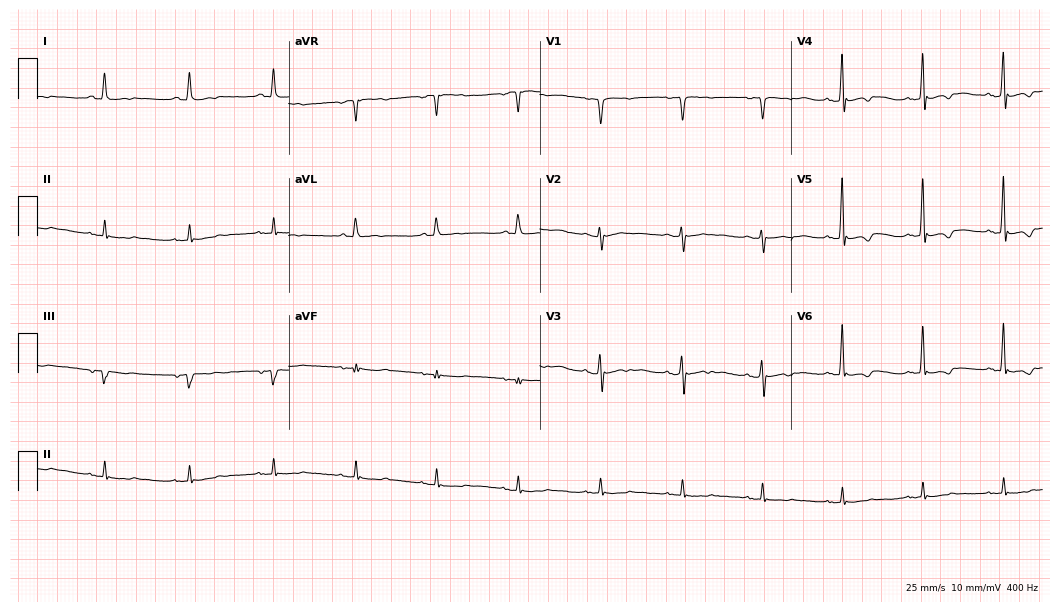
12-lead ECG from a man, 69 years old. Screened for six findings — first-degree AV block, right bundle branch block (RBBB), left bundle branch block (LBBB), sinus bradycardia, atrial fibrillation (AF), sinus tachycardia — none is recorded. Other findings, if any, are not listed.